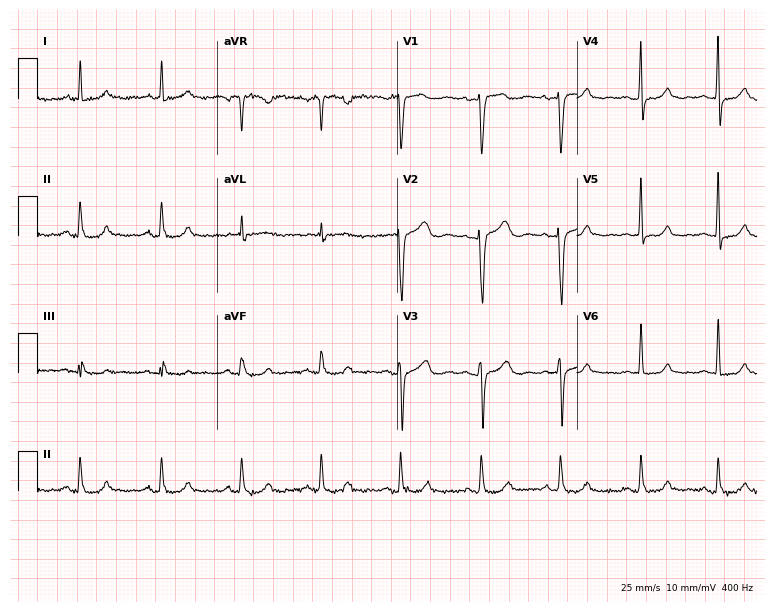
12-lead ECG from a female patient, 38 years old. Recorded interpretation: within normal limits.